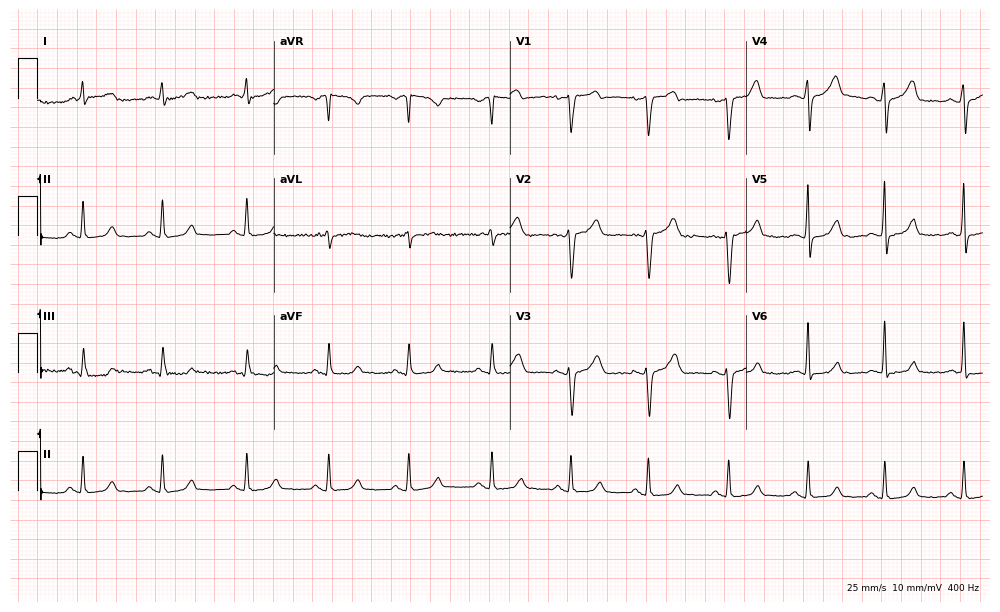
Resting 12-lead electrocardiogram (9.6-second recording at 400 Hz). Patient: a 56-year-old woman. None of these six findings is recorded: first-degree AV block, right bundle branch block, left bundle branch block, sinus bradycardia, atrial fibrillation, sinus tachycardia. Other findings, if any, are not listed.